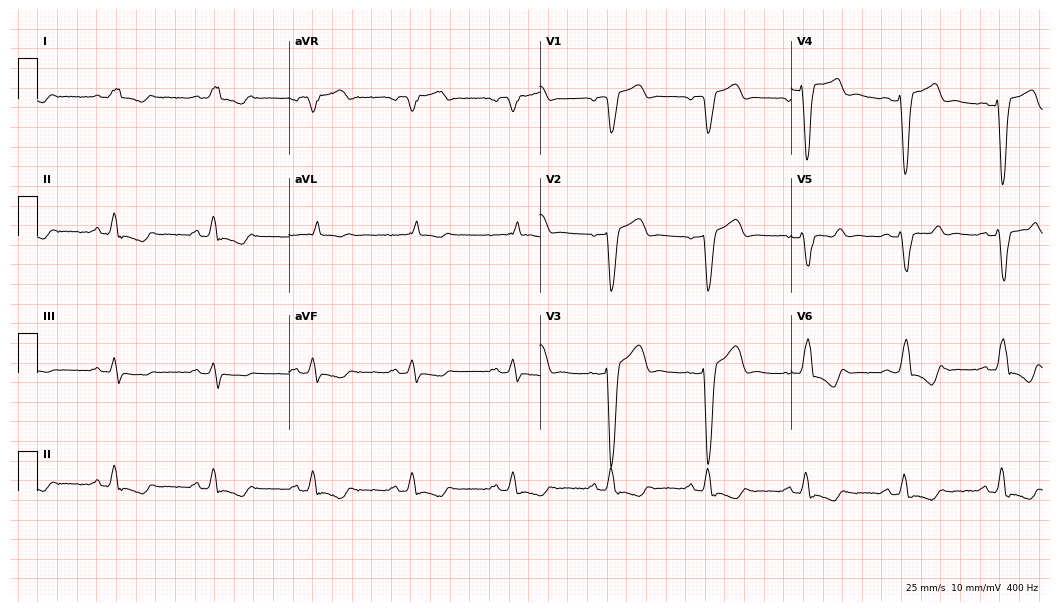
Standard 12-lead ECG recorded from a male, 71 years old. The tracing shows left bundle branch block.